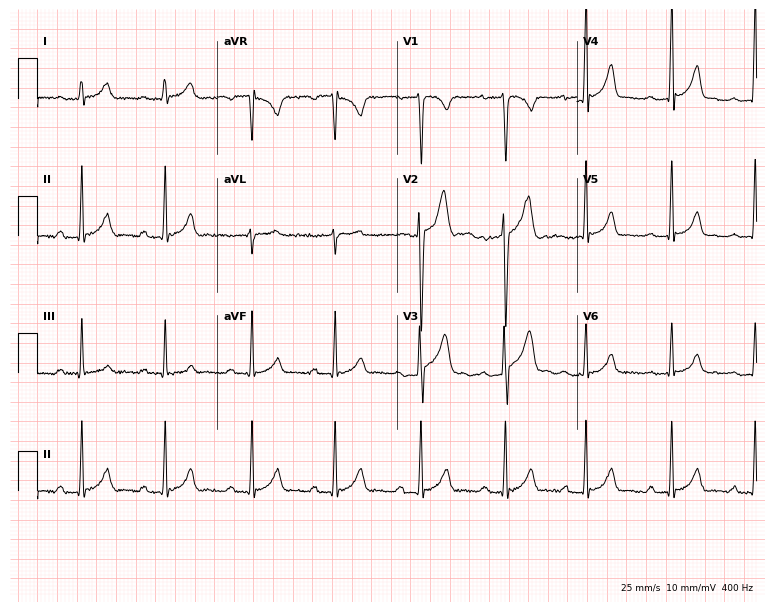
12-lead ECG from a 26-year-old man. Recorded interpretation: within normal limits.